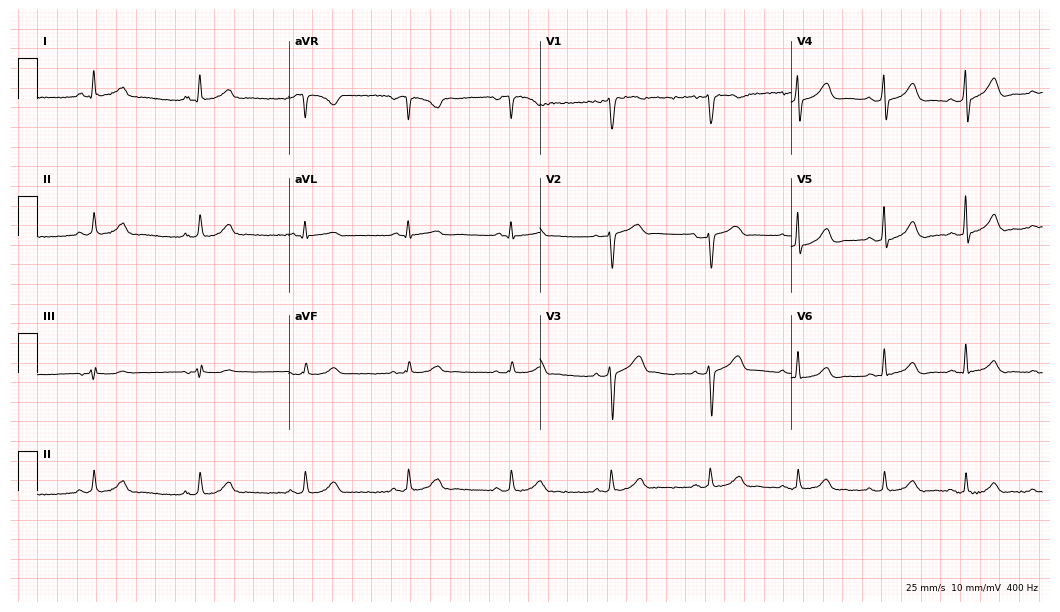
Standard 12-lead ECG recorded from a man, 44 years old (10.2-second recording at 400 Hz). Read as a normal ECG.